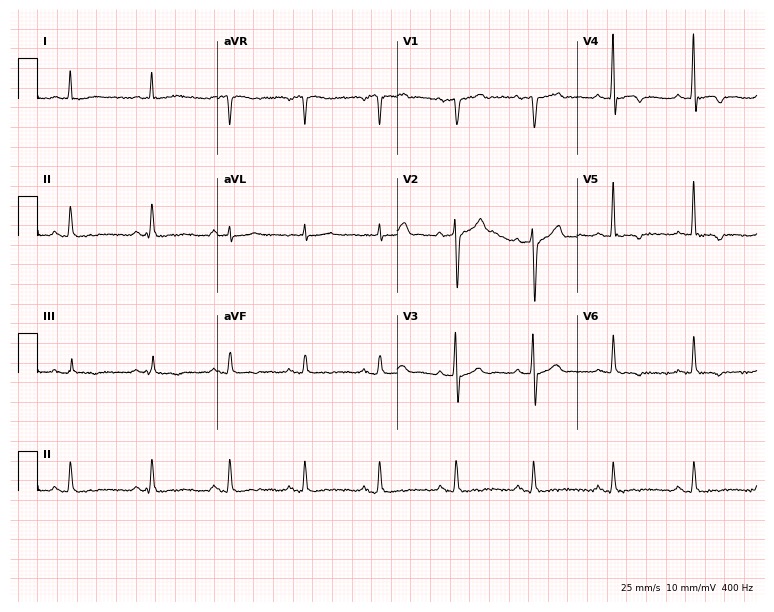
12-lead ECG (7.3-second recording at 400 Hz) from a male, 74 years old. Labelled as a normal ECG.